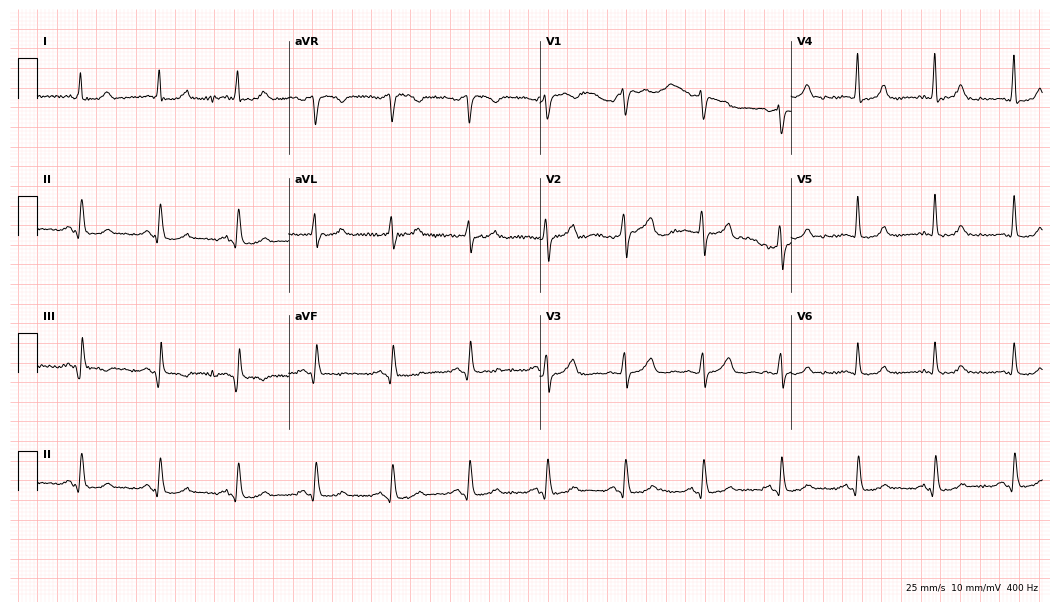
ECG (10.2-second recording at 400 Hz) — a 60-year-old woman. Labelled as a normal ECG.